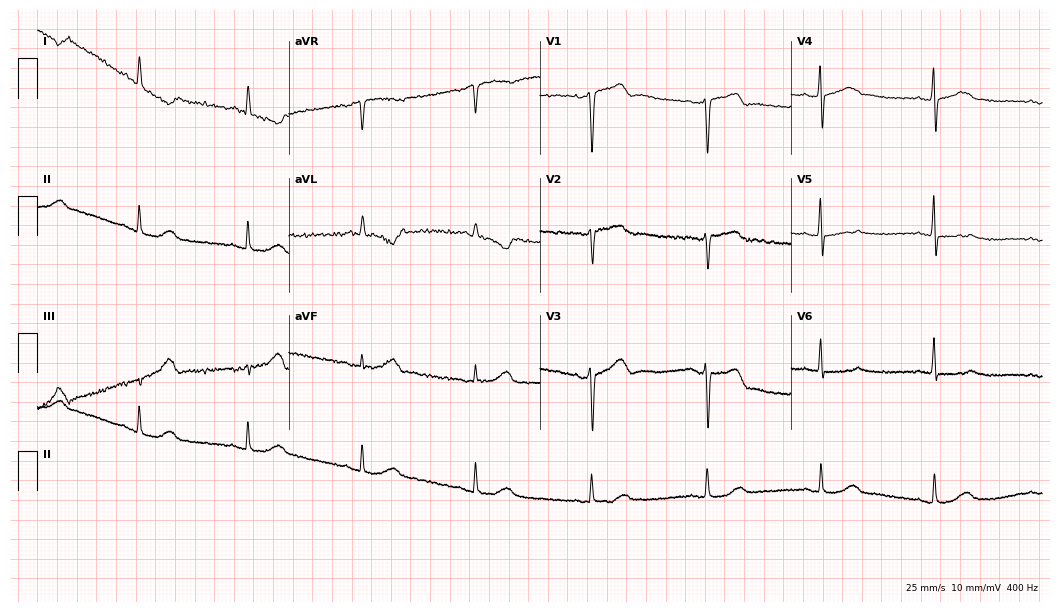
Resting 12-lead electrocardiogram (10.2-second recording at 400 Hz). Patient: a 66-year-old female. None of these six findings is recorded: first-degree AV block, right bundle branch block (RBBB), left bundle branch block (LBBB), sinus bradycardia, atrial fibrillation (AF), sinus tachycardia. Other findings, if any, are not listed.